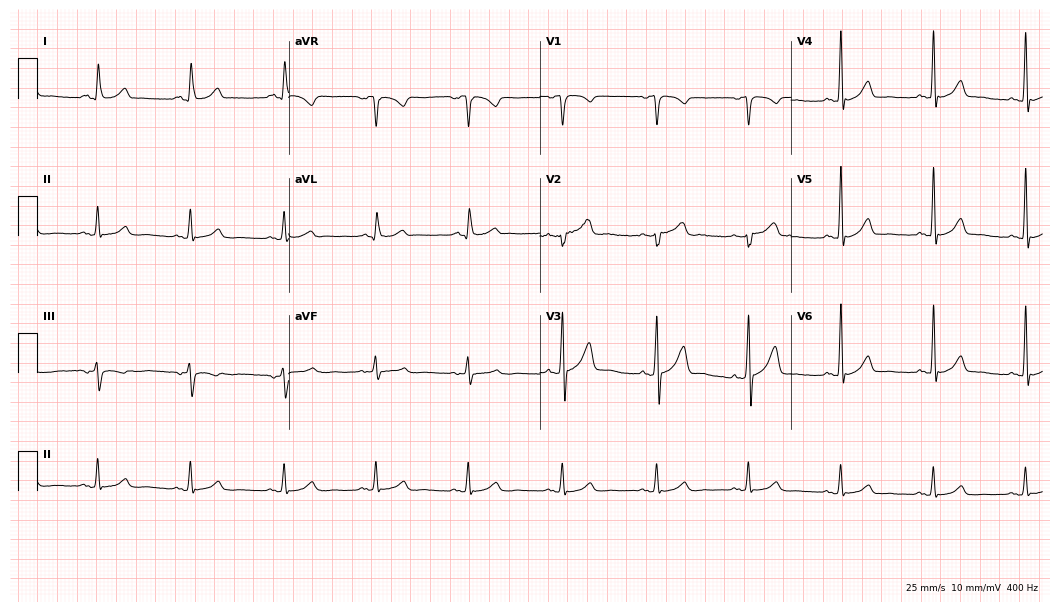
Standard 12-lead ECG recorded from a male patient, 43 years old (10.2-second recording at 400 Hz). None of these six findings is recorded: first-degree AV block, right bundle branch block (RBBB), left bundle branch block (LBBB), sinus bradycardia, atrial fibrillation (AF), sinus tachycardia.